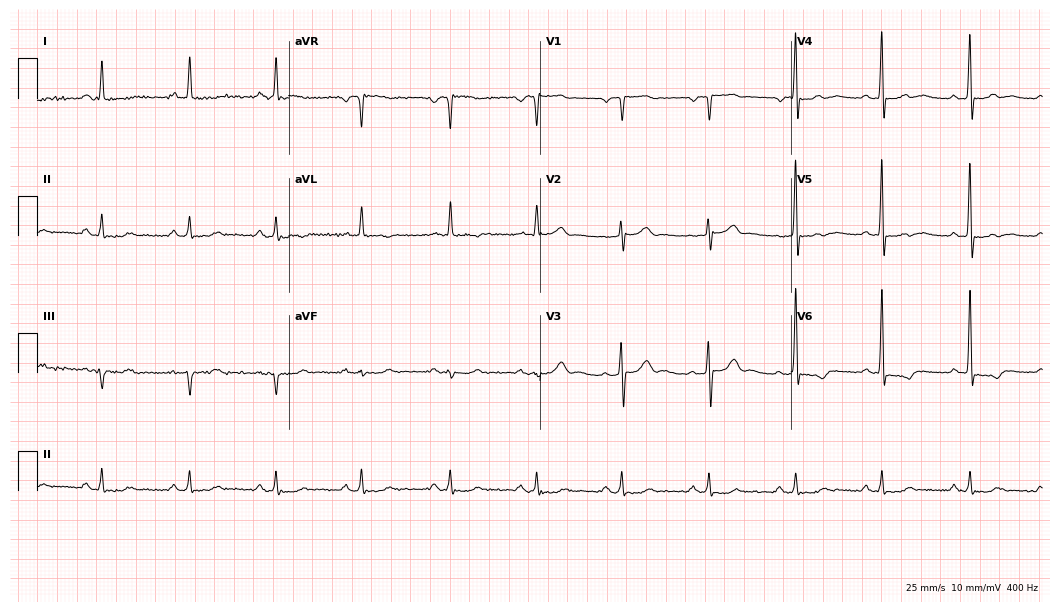
12-lead ECG (10.2-second recording at 400 Hz) from a male, 74 years old. Screened for six findings — first-degree AV block, right bundle branch block (RBBB), left bundle branch block (LBBB), sinus bradycardia, atrial fibrillation (AF), sinus tachycardia — none is recorded. Only these six findings were labelled.